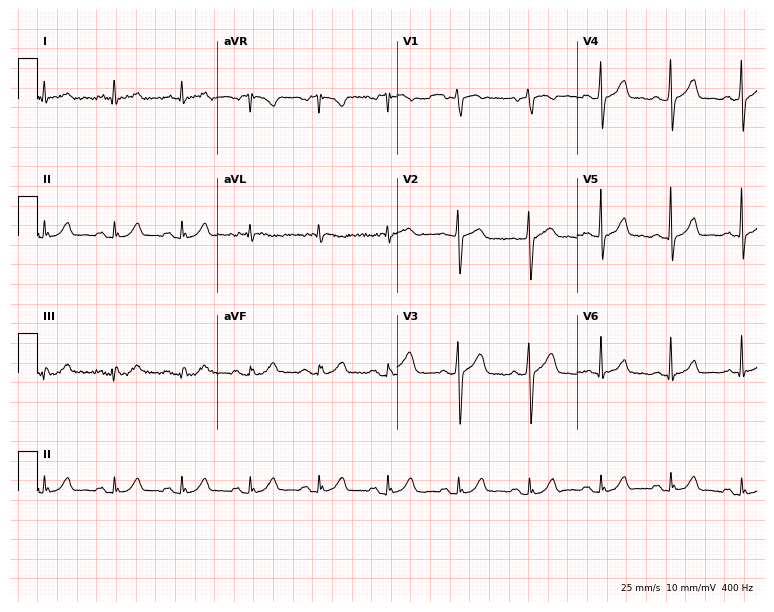
12-lead ECG (7.3-second recording at 400 Hz) from a 65-year-old male. Labelled as a normal ECG.